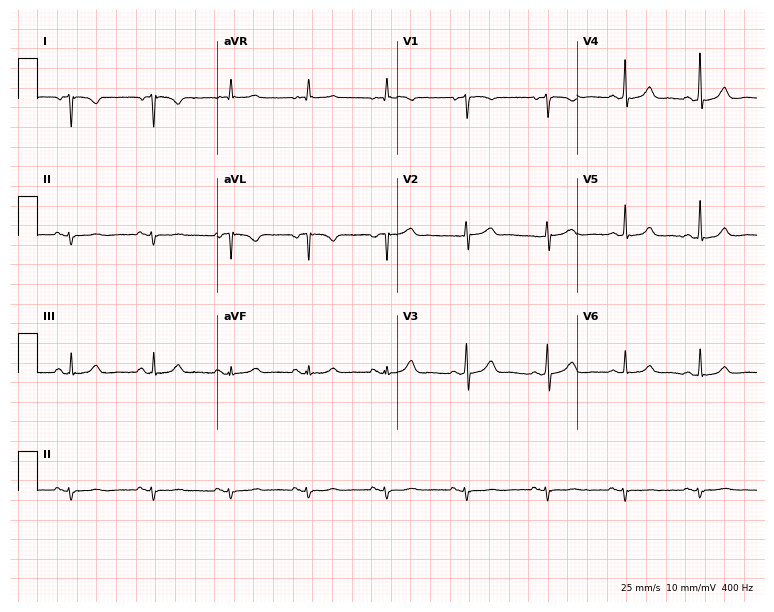
Resting 12-lead electrocardiogram (7.3-second recording at 400 Hz). Patient: a woman, 68 years old. None of these six findings is recorded: first-degree AV block, right bundle branch block, left bundle branch block, sinus bradycardia, atrial fibrillation, sinus tachycardia.